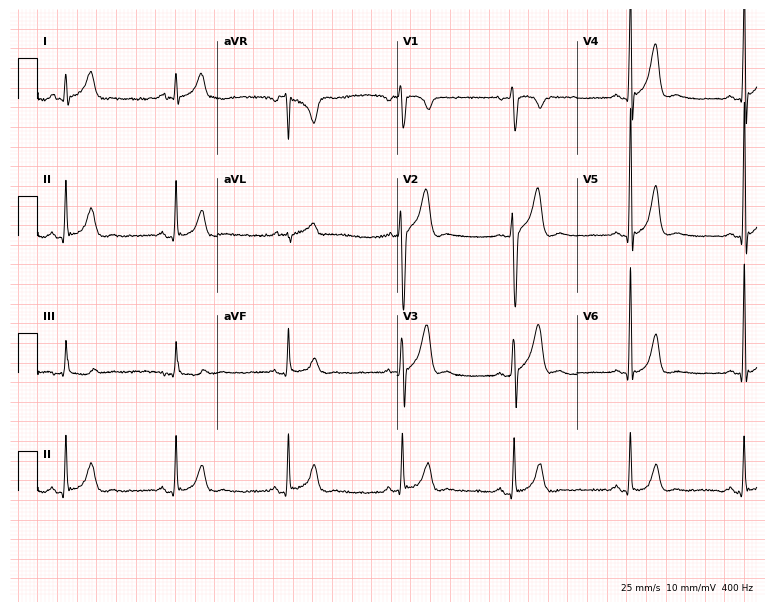
ECG (7.3-second recording at 400 Hz) — a 34-year-old man. Labelled as a normal ECG.